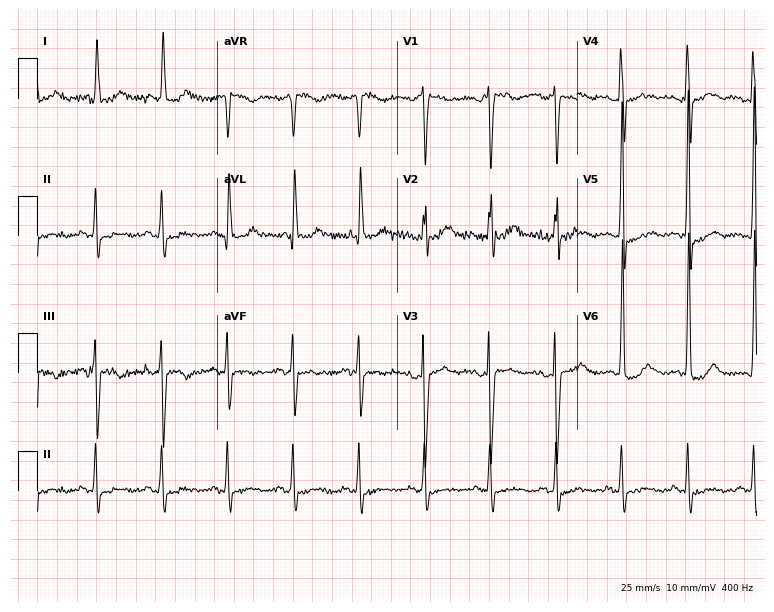
ECG (7.3-second recording at 400 Hz) — an 82-year-old female patient. Screened for six findings — first-degree AV block, right bundle branch block, left bundle branch block, sinus bradycardia, atrial fibrillation, sinus tachycardia — none is recorded. Findings outside these six are not listed.